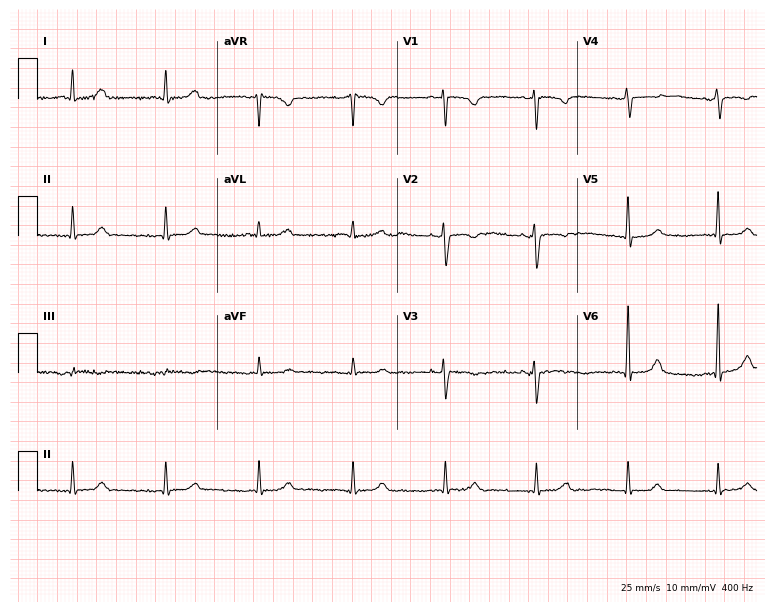
Electrocardiogram, a 43-year-old woman. Overall reading on record: normal ECG.